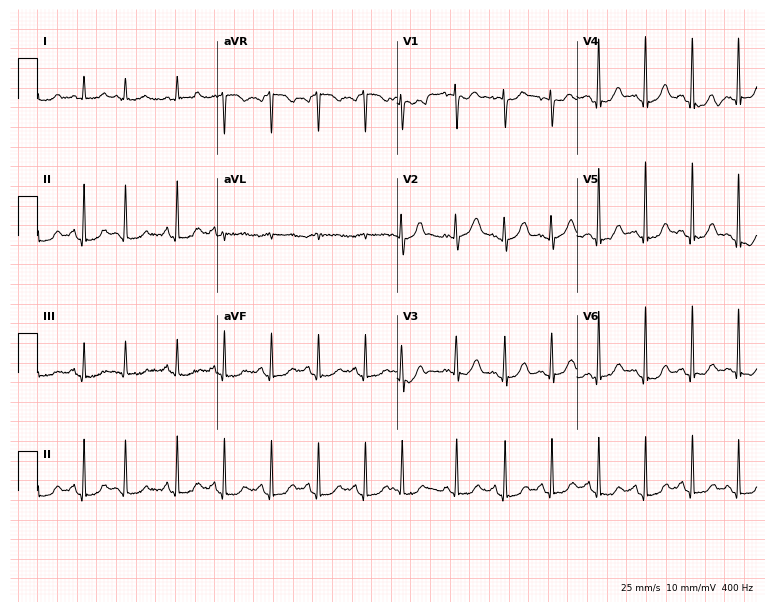
Resting 12-lead electrocardiogram (7.3-second recording at 400 Hz). Patient: a woman, 62 years old. The tracing shows sinus tachycardia (a sinus rate of 100 beats per minute or more).